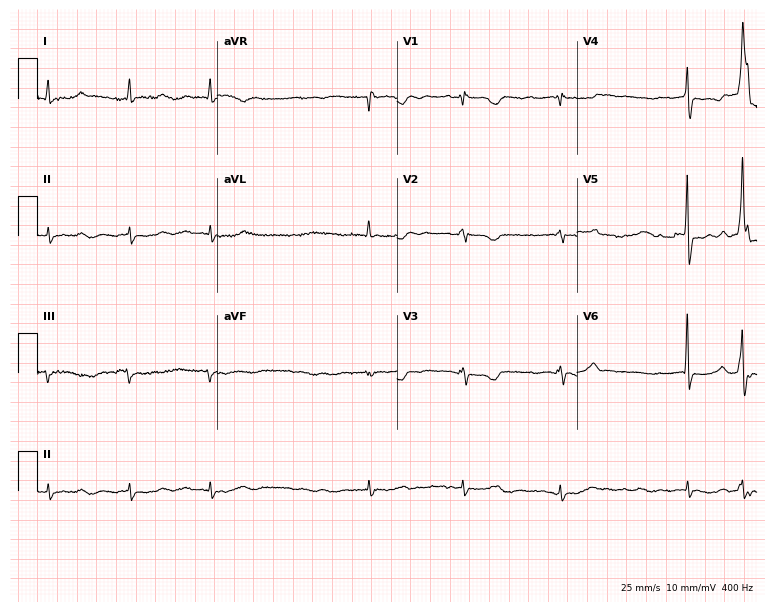
12-lead ECG from a 75-year-old woman. Shows atrial fibrillation (AF).